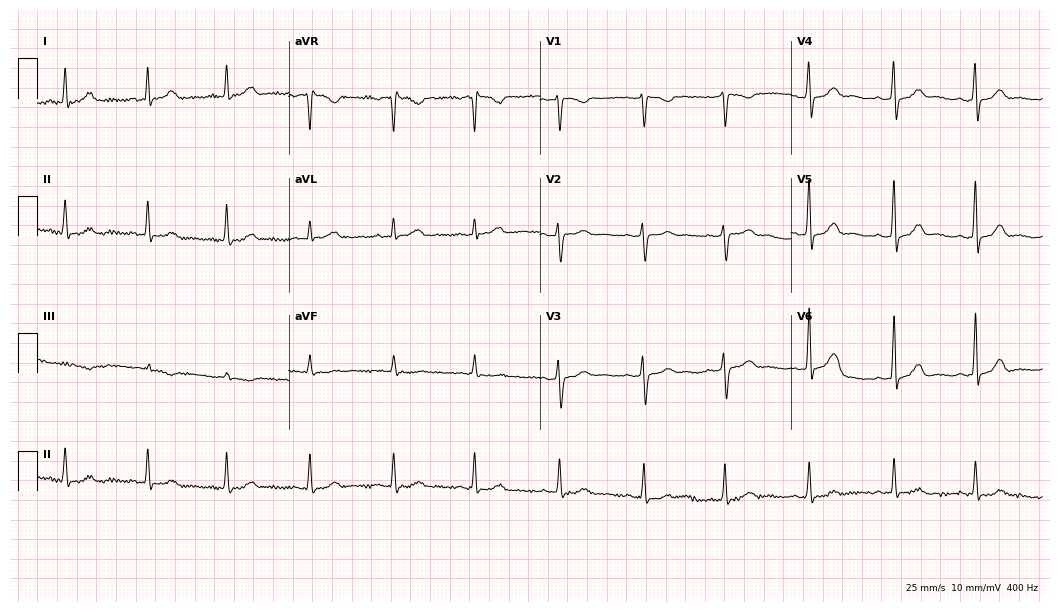
Electrocardiogram (10.2-second recording at 400 Hz), a 53-year-old woman. Overall reading on record: normal ECG.